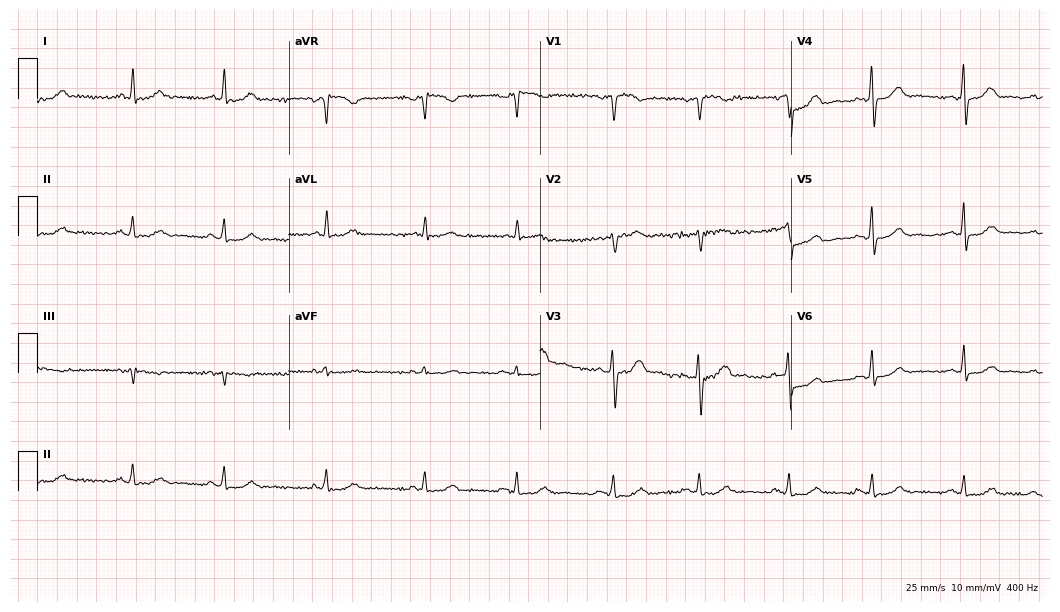
Resting 12-lead electrocardiogram (10.2-second recording at 400 Hz). Patient: a male, 54 years old. Read as a normal ECG.